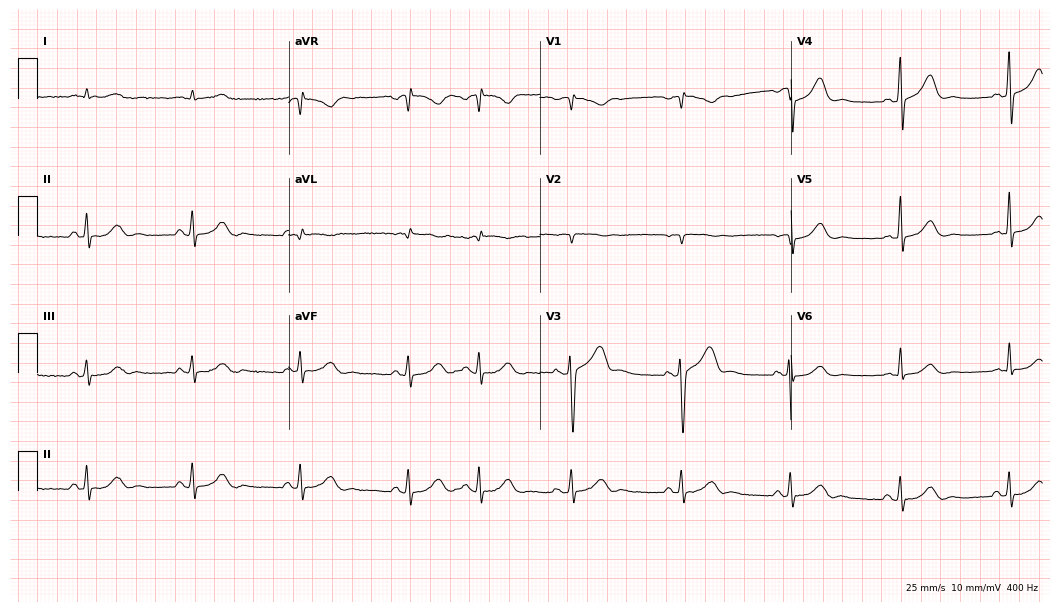
Electrocardiogram, a male patient, 74 years old. Of the six screened findings (first-degree AV block, right bundle branch block, left bundle branch block, sinus bradycardia, atrial fibrillation, sinus tachycardia), none is recorded.